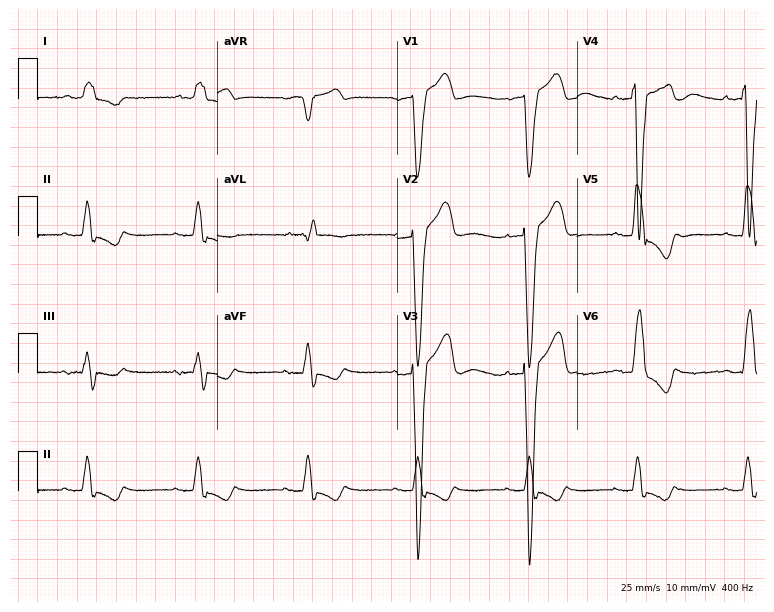
Electrocardiogram, a man, 75 years old. Of the six screened findings (first-degree AV block, right bundle branch block (RBBB), left bundle branch block (LBBB), sinus bradycardia, atrial fibrillation (AF), sinus tachycardia), none is recorded.